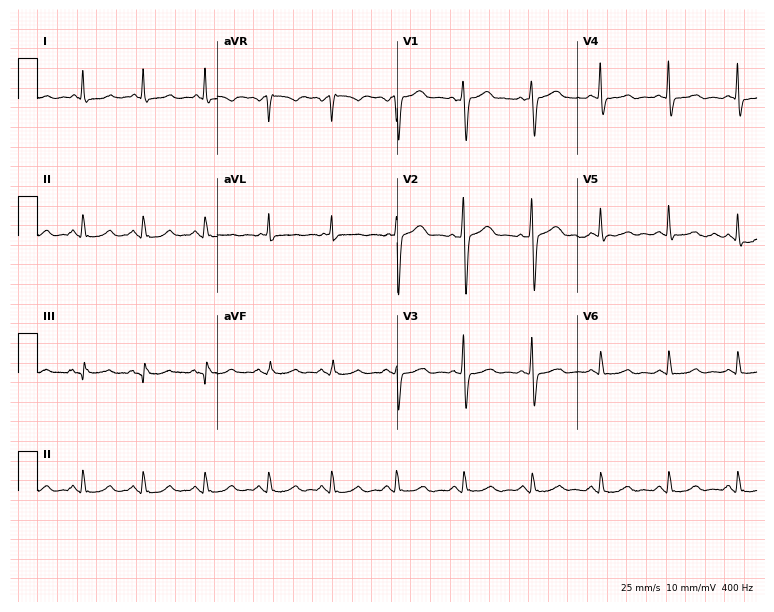
Resting 12-lead electrocardiogram (7.3-second recording at 400 Hz). Patient: a 57-year-old woman. Read as a normal ECG.